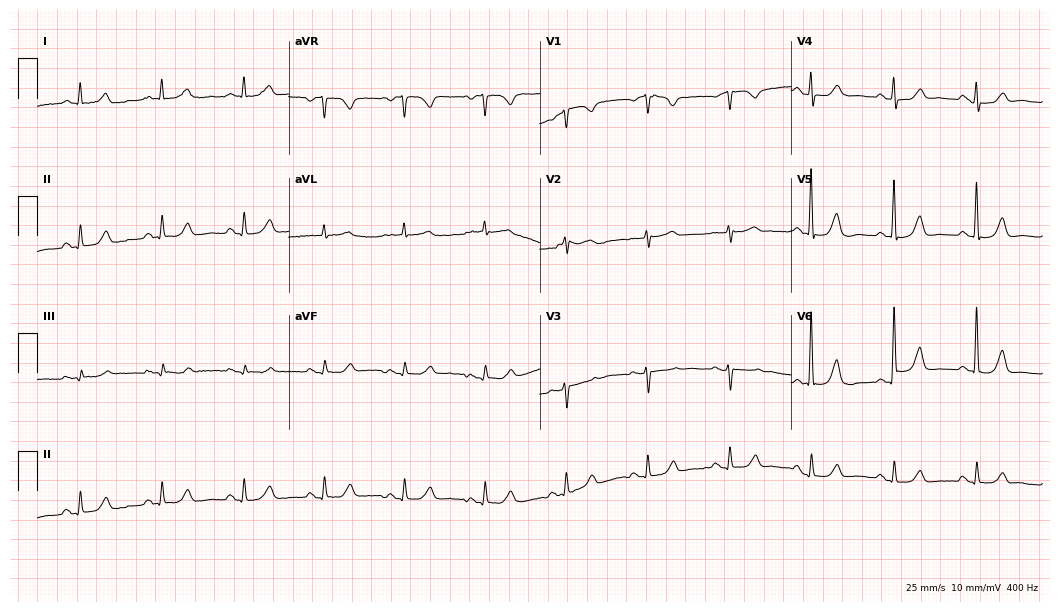
12-lead ECG from a 77-year-old female (10.2-second recording at 400 Hz). Recorded interpretation: within normal limits.